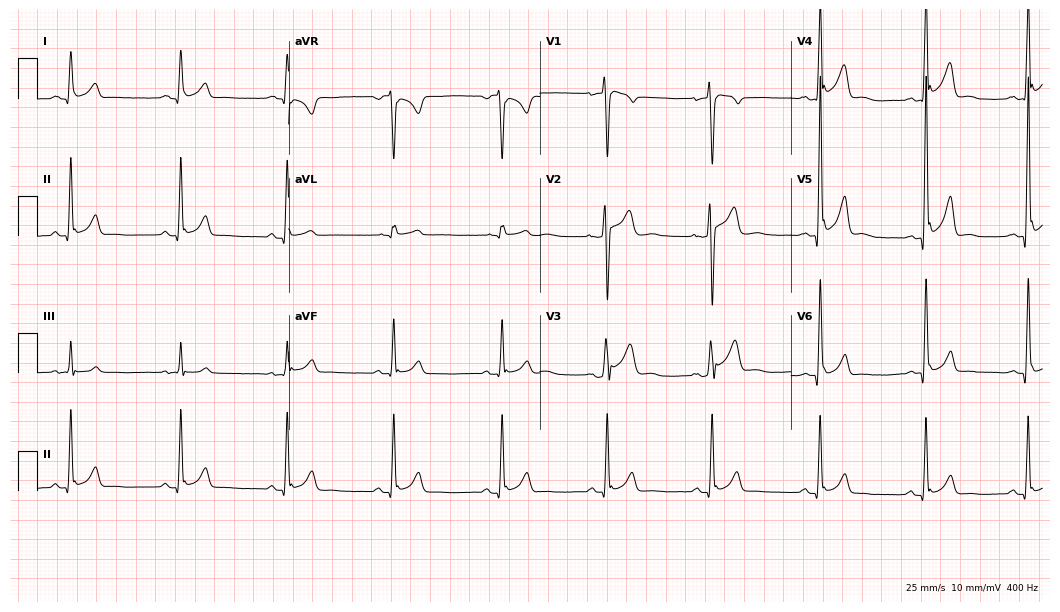
12-lead ECG (10.2-second recording at 400 Hz) from a 24-year-old man. Screened for six findings — first-degree AV block, right bundle branch block, left bundle branch block, sinus bradycardia, atrial fibrillation, sinus tachycardia — none is recorded. Other findings, if any, are not listed.